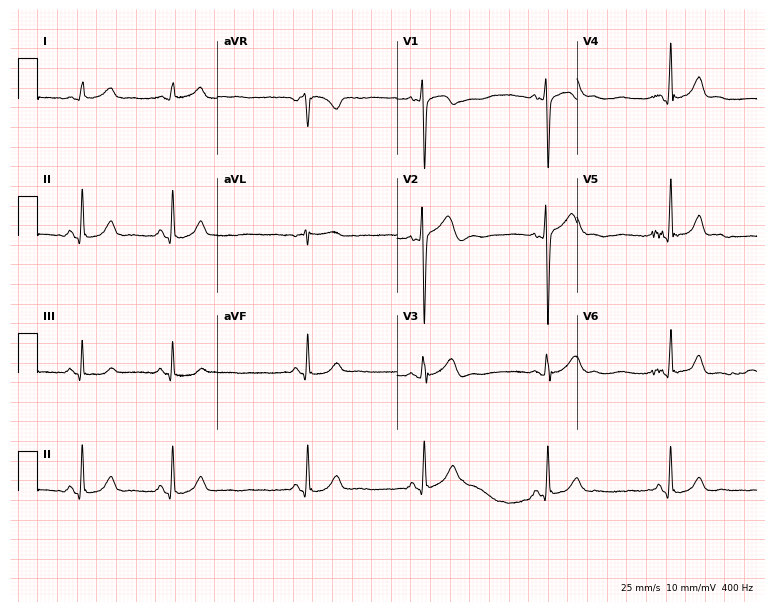
Resting 12-lead electrocardiogram (7.3-second recording at 400 Hz). Patient: a male, 21 years old. Read as a normal ECG.